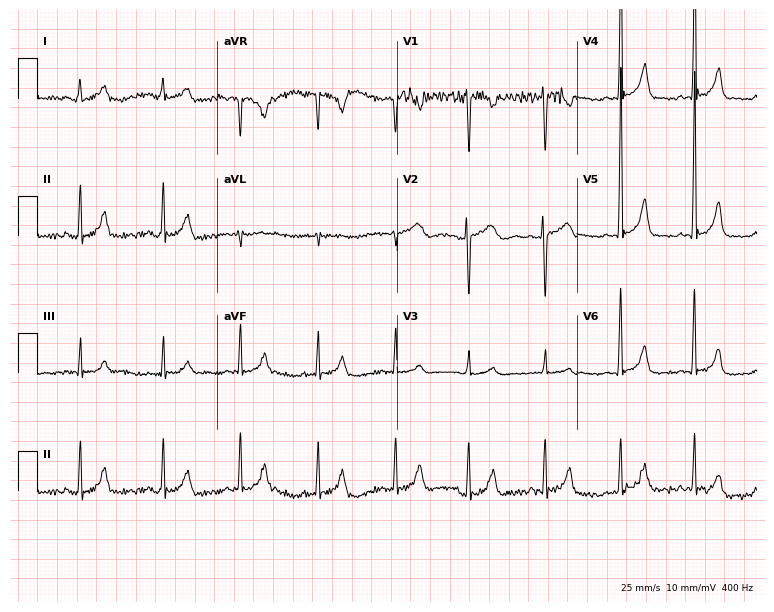
12-lead ECG from a 22-year-old male. Labelled as a normal ECG.